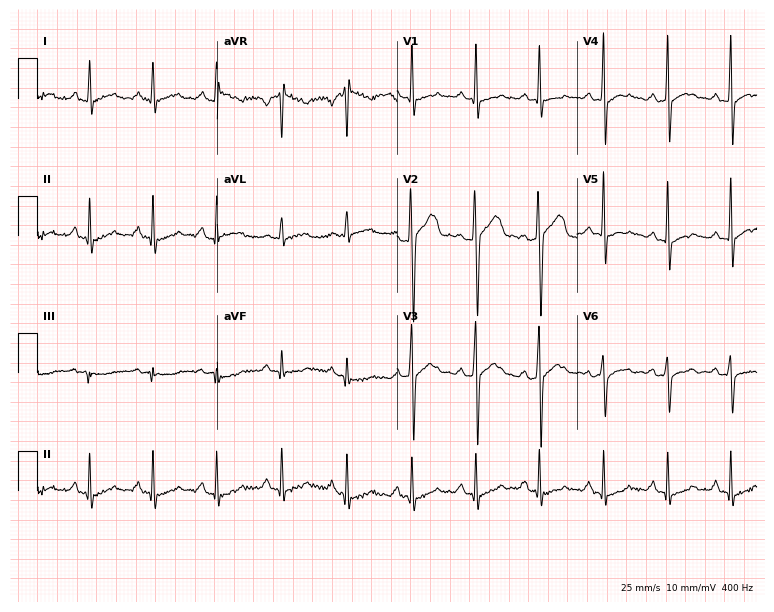
12-lead ECG from a male patient, 30 years old (7.3-second recording at 400 Hz). No first-degree AV block, right bundle branch block, left bundle branch block, sinus bradycardia, atrial fibrillation or sinus tachycardia recorded for this tracing.